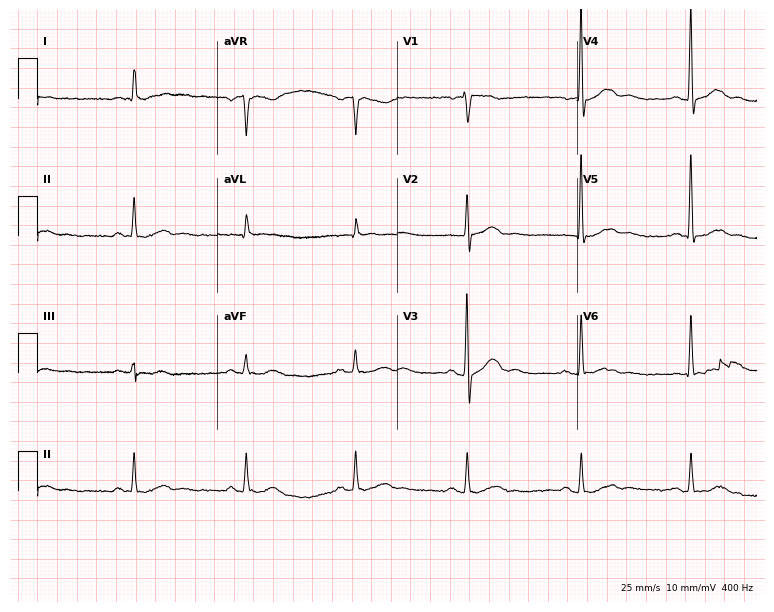
ECG (7.3-second recording at 400 Hz) — a man, 70 years old. Screened for six findings — first-degree AV block, right bundle branch block, left bundle branch block, sinus bradycardia, atrial fibrillation, sinus tachycardia — none is recorded. Findings outside these six are not listed.